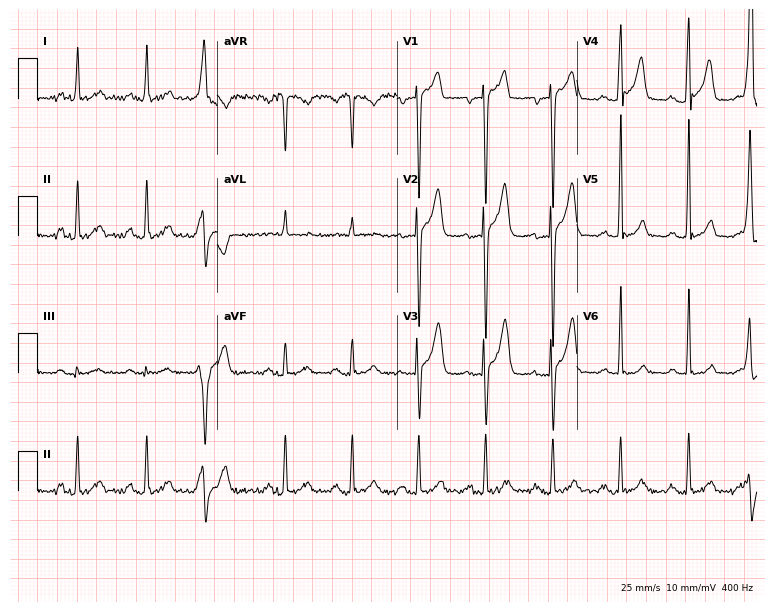
Resting 12-lead electrocardiogram (7.3-second recording at 400 Hz). Patient: a man, 53 years old. None of these six findings is recorded: first-degree AV block, right bundle branch block (RBBB), left bundle branch block (LBBB), sinus bradycardia, atrial fibrillation (AF), sinus tachycardia.